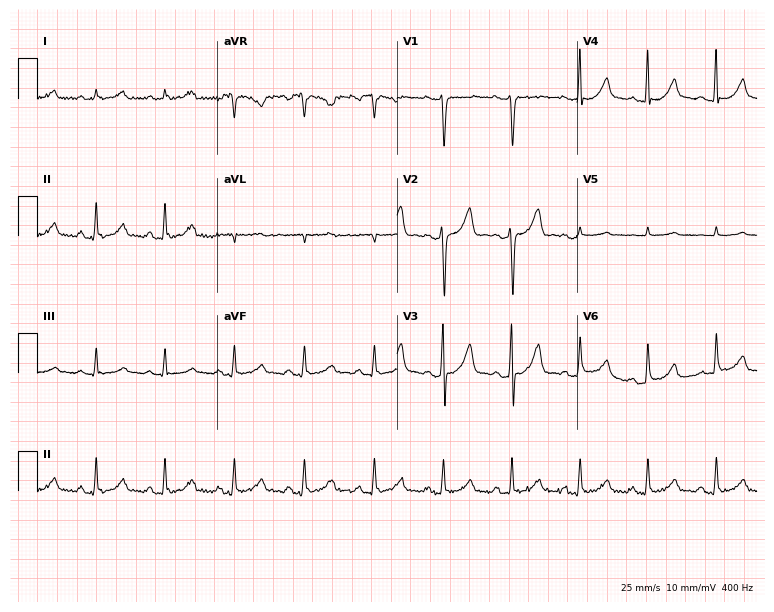
Electrocardiogram (7.3-second recording at 400 Hz), a 39-year-old male patient. Overall reading on record: normal ECG.